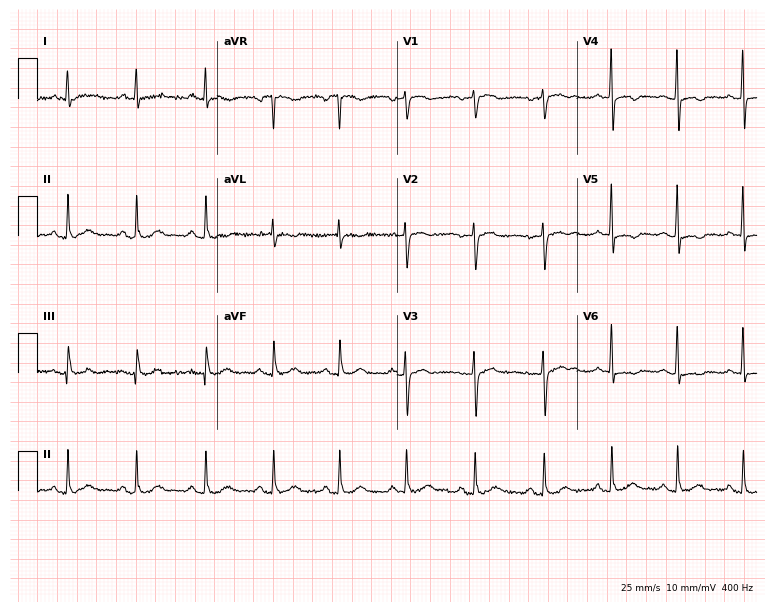
Standard 12-lead ECG recorded from a woman, 65 years old (7.3-second recording at 400 Hz). None of these six findings is recorded: first-degree AV block, right bundle branch block (RBBB), left bundle branch block (LBBB), sinus bradycardia, atrial fibrillation (AF), sinus tachycardia. Only these six findings were labelled.